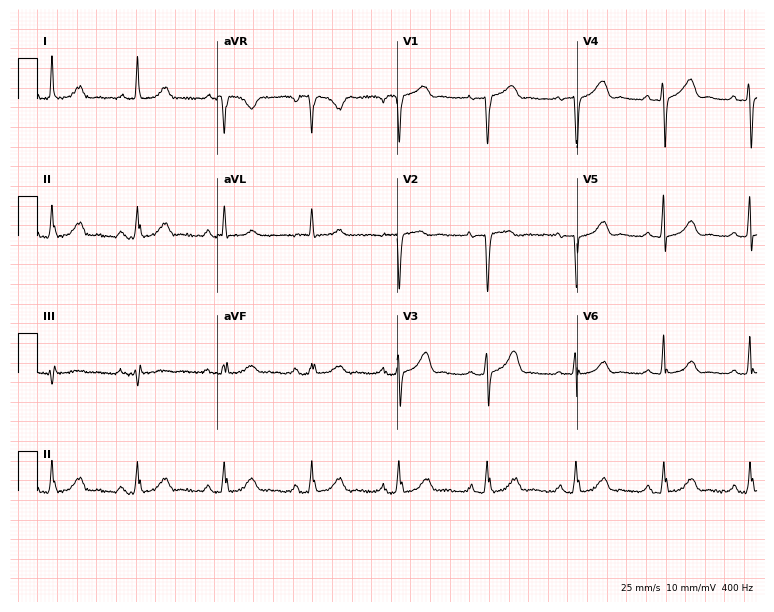
Resting 12-lead electrocardiogram (7.3-second recording at 400 Hz). Patient: a 49-year-old woman. Read as a normal ECG.